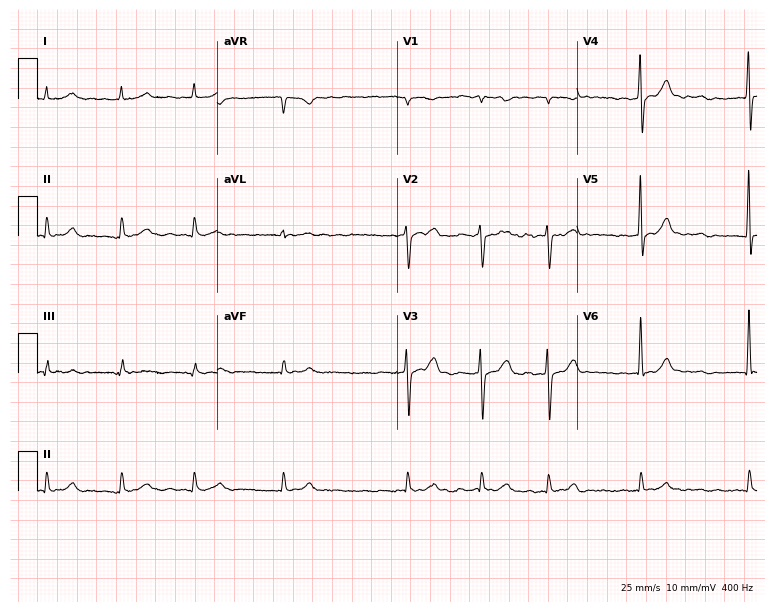
Resting 12-lead electrocardiogram. Patient: a 62-year-old female. The tracing shows atrial fibrillation.